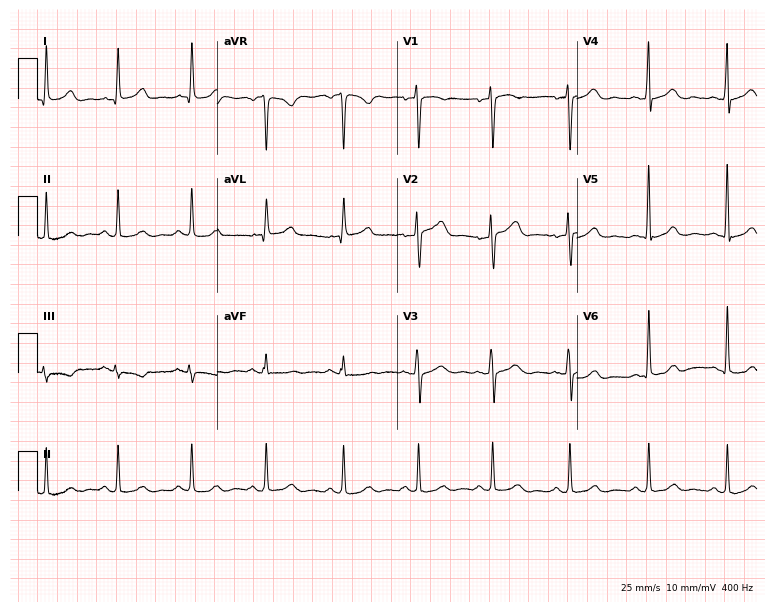
12-lead ECG (7.3-second recording at 400 Hz) from a 52-year-old female patient. Screened for six findings — first-degree AV block, right bundle branch block (RBBB), left bundle branch block (LBBB), sinus bradycardia, atrial fibrillation (AF), sinus tachycardia — none is recorded.